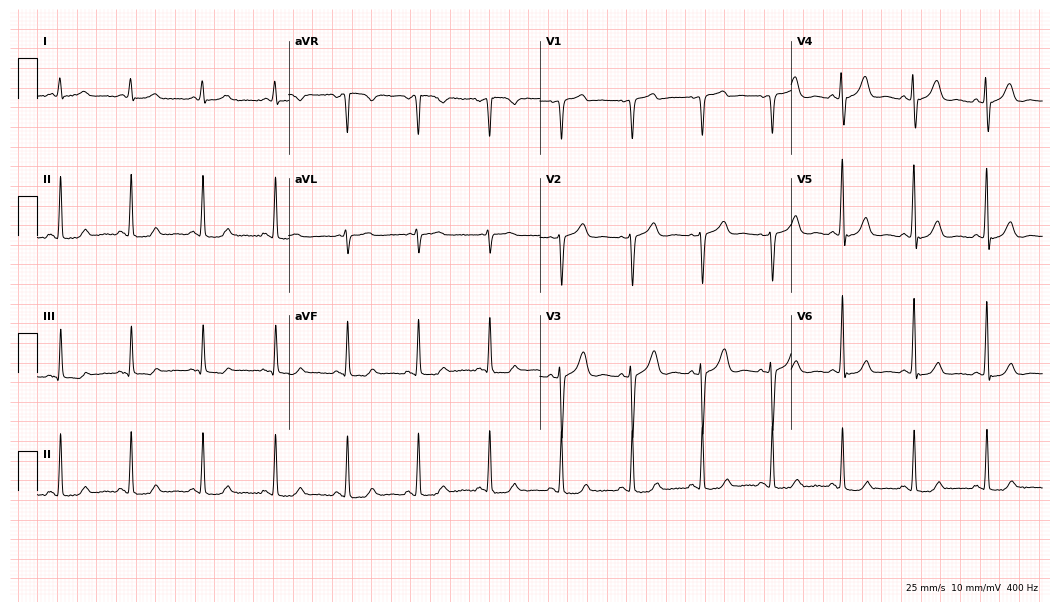
Standard 12-lead ECG recorded from a female patient, 54 years old (10.2-second recording at 400 Hz). Read as a normal ECG.